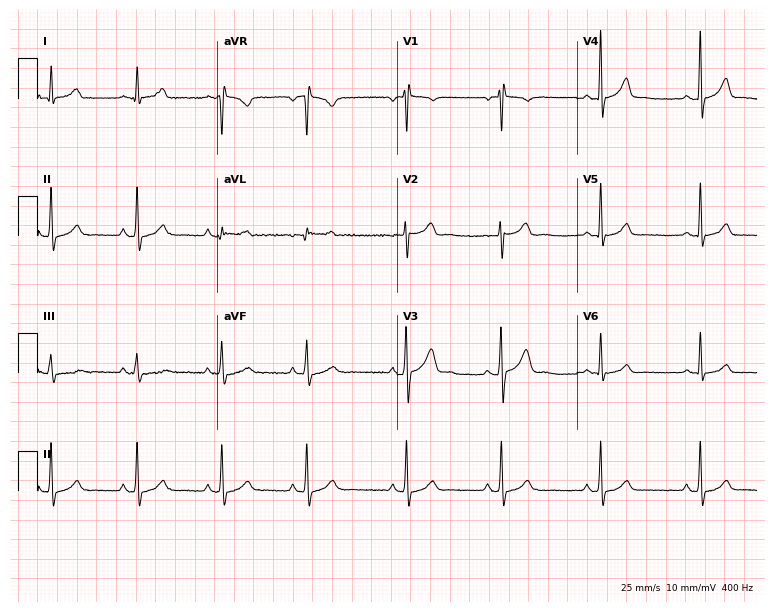
Standard 12-lead ECG recorded from a man, 20 years old (7.3-second recording at 400 Hz). Read as a normal ECG.